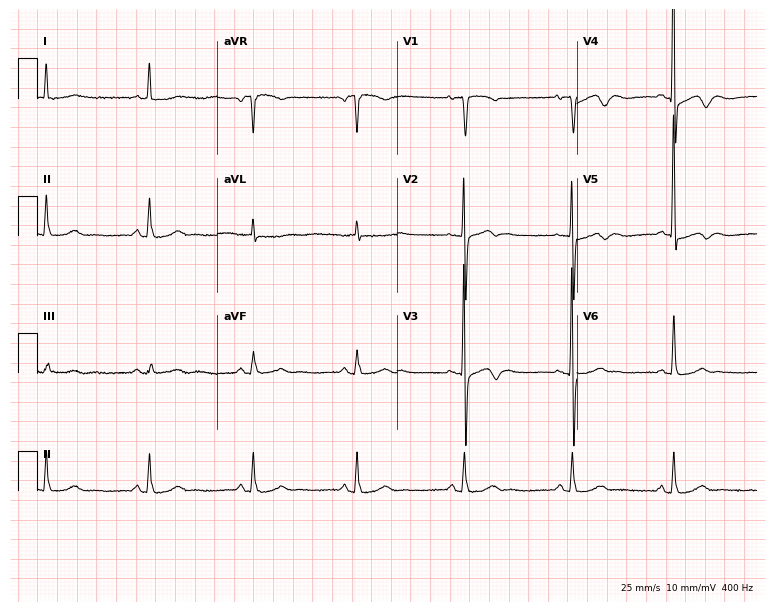
Standard 12-lead ECG recorded from a 64-year-old female patient. None of these six findings is recorded: first-degree AV block, right bundle branch block, left bundle branch block, sinus bradycardia, atrial fibrillation, sinus tachycardia. Only these six findings were labelled.